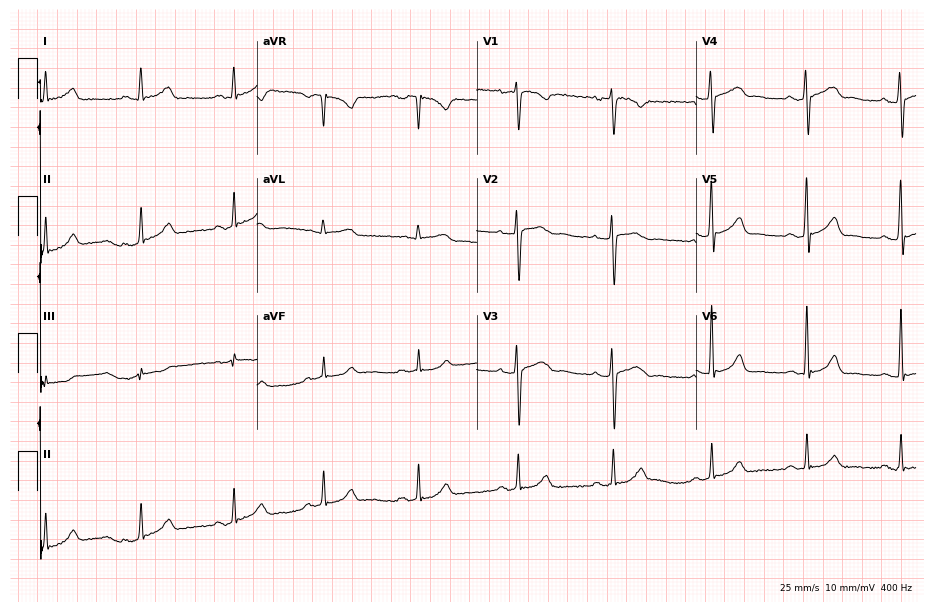
12-lead ECG from a 35-year-old woman. Labelled as a normal ECG.